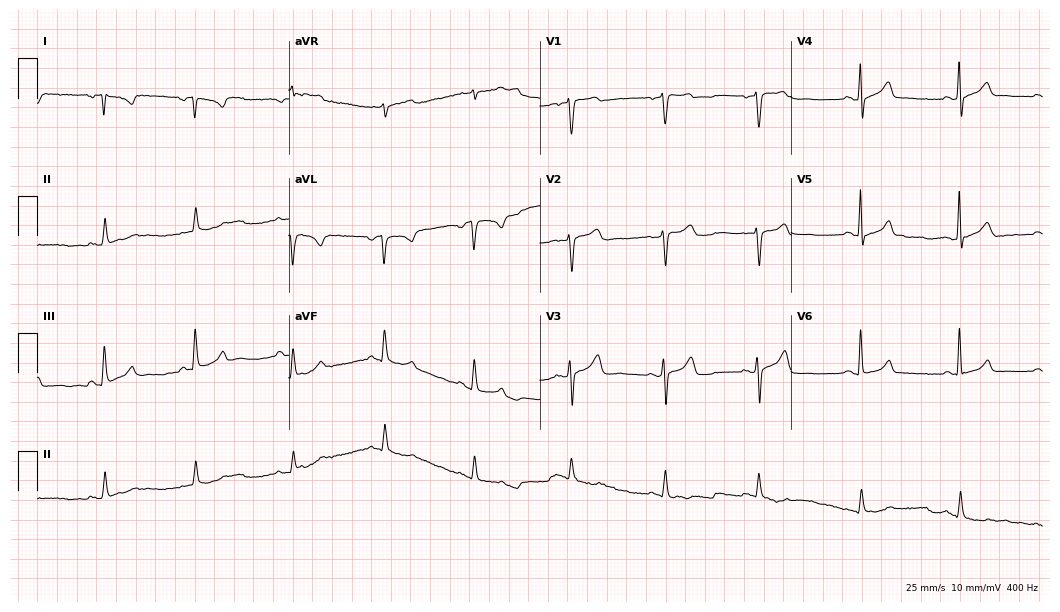
12-lead ECG from a 51-year-old female. Screened for six findings — first-degree AV block, right bundle branch block, left bundle branch block, sinus bradycardia, atrial fibrillation, sinus tachycardia — none is recorded. Other findings, if any, are not listed.